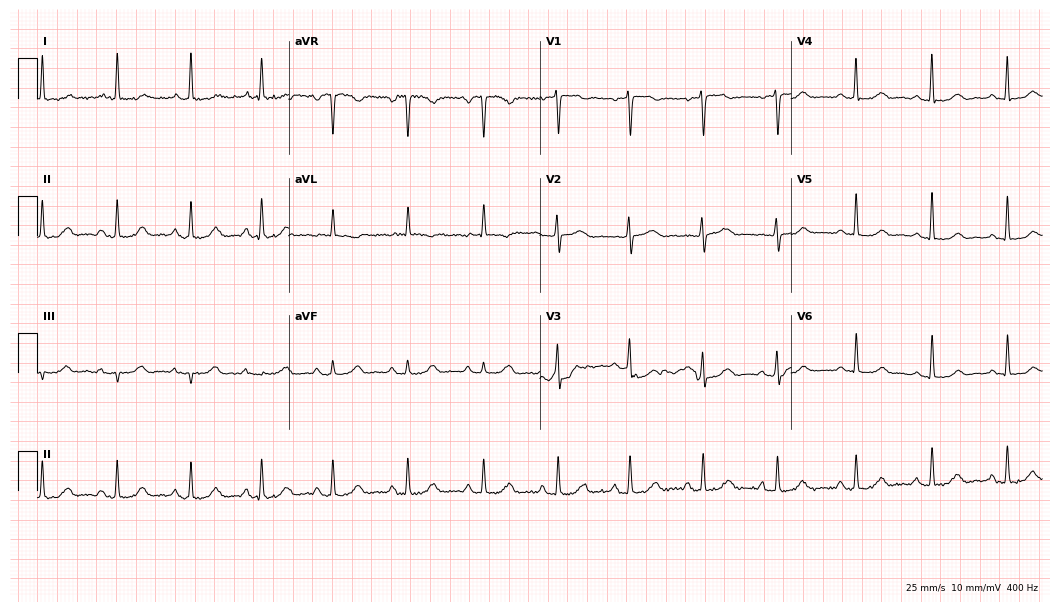
12-lead ECG (10.2-second recording at 400 Hz) from a female, 65 years old. Screened for six findings — first-degree AV block, right bundle branch block, left bundle branch block, sinus bradycardia, atrial fibrillation, sinus tachycardia — none is recorded. Only these six findings were labelled.